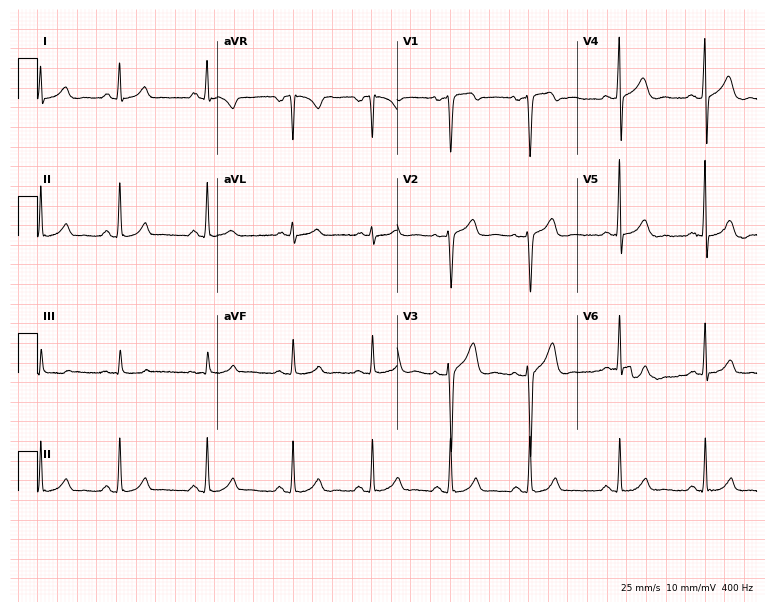
12-lead ECG (7.3-second recording at 400 Hz) from a female, 41 years old. Labelled as a normal ECG.